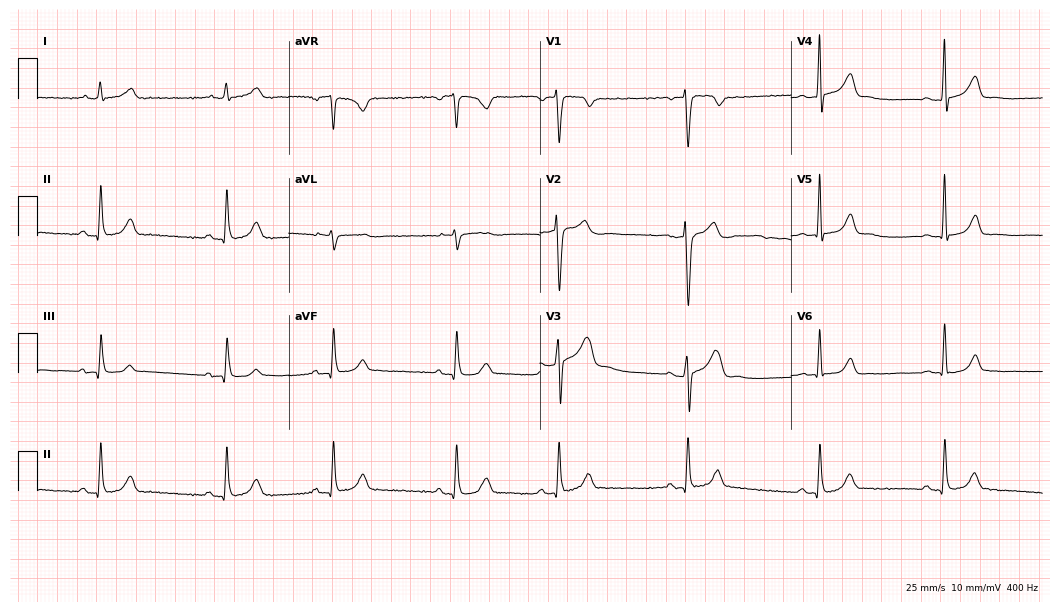
12-lead ECG (10.2-second recording at 400 Hz) from a male patient, 20 years old. Screened for six findings — first-degree AV block, right bundle branch block (RBBB), left bundle branch block (LBBB), sinus bradycardia, atrial fibrillation (AF), sinus tachycardia — none is recorded.